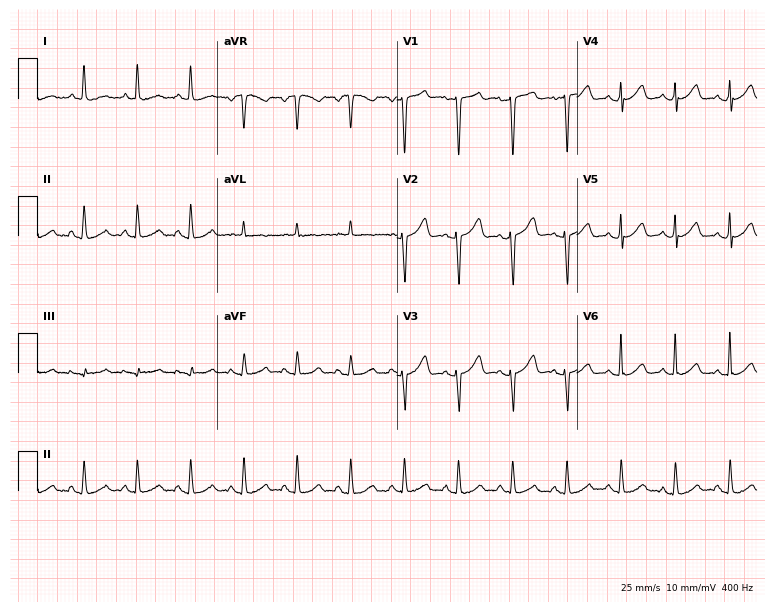
ECG (7.3-second recording at 400 Hz) — a woman, 58 years old. Screened for six findings — first-degree AV block, right bundle branch block, left bundle branch block, sinus bradycardia, atrial fibrillation, sinus tachycardia — none is recorded. Only these six findings were labelled.